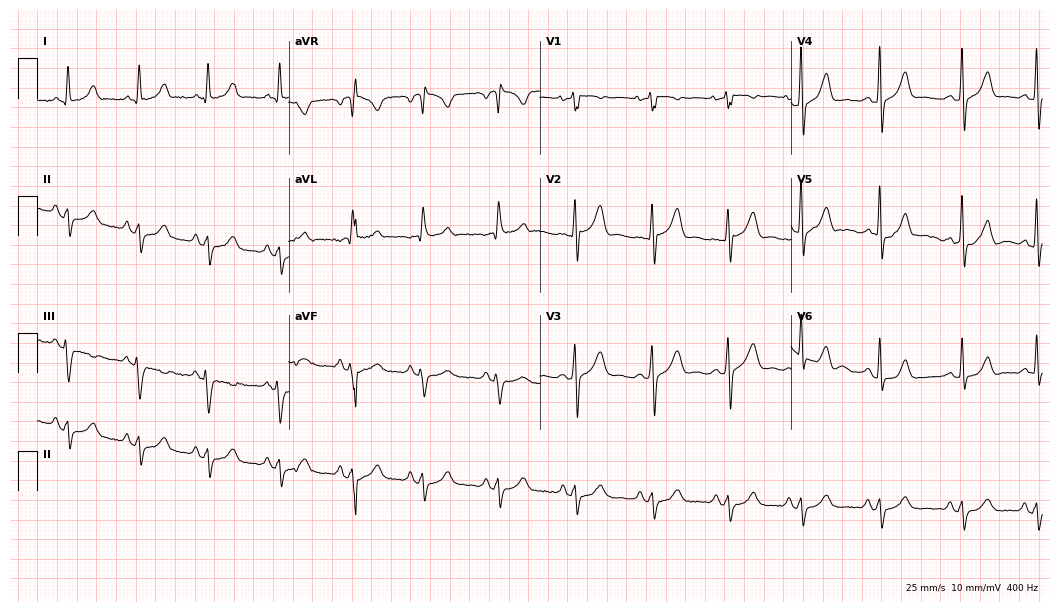
Electrocardiogram, a 35-year-old male patient. Of the six screened findings (first-degree AV block, right bundle branch block, left bundle branch block, sinus bradycardia, atrial fibrillation, sinus tachycardia), none is recorded.